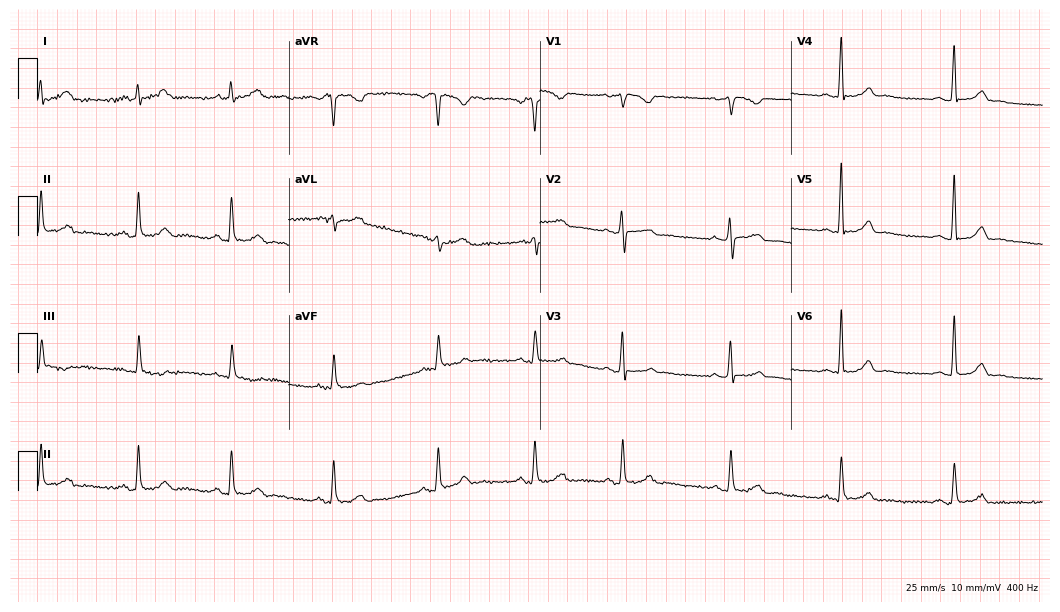
12-lead ECG (10.2-second recording at 400 Hz) from a 33-year-old female patient. Labelled as a normal ECG.